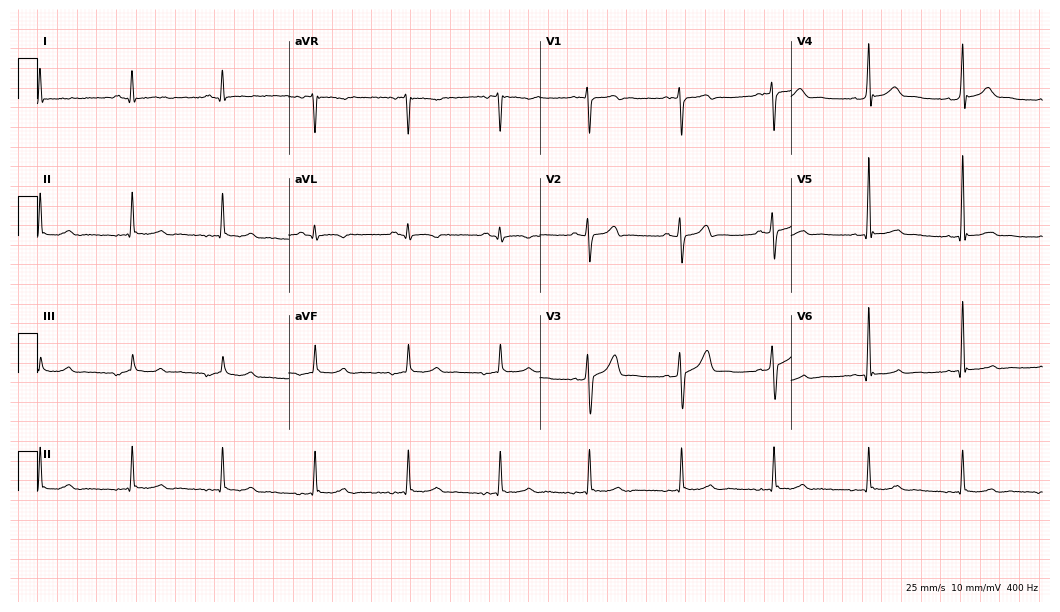
12-lead ECG from a 41-year-old male. Labelled as a normal ECG.